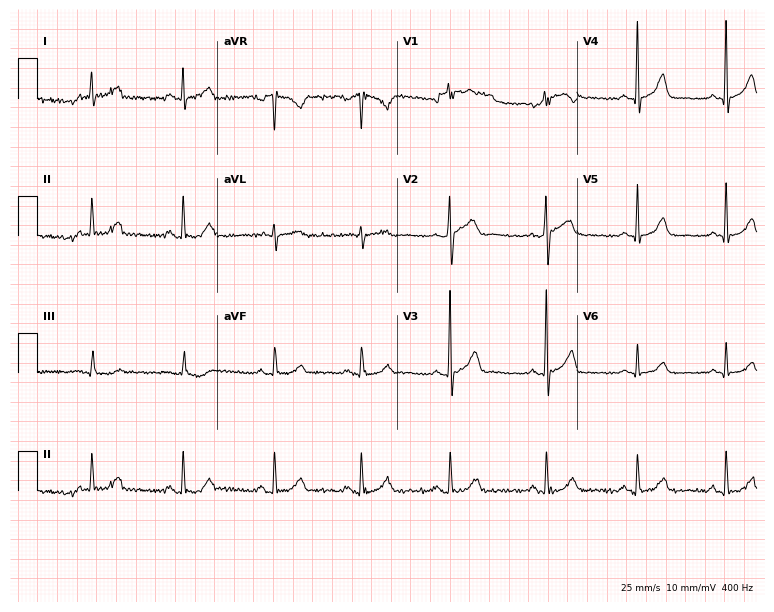
Electrocardiogram (7.3-second recording at 400 Hz), a 43-year-old man. Overall reading on record: normal ECG.